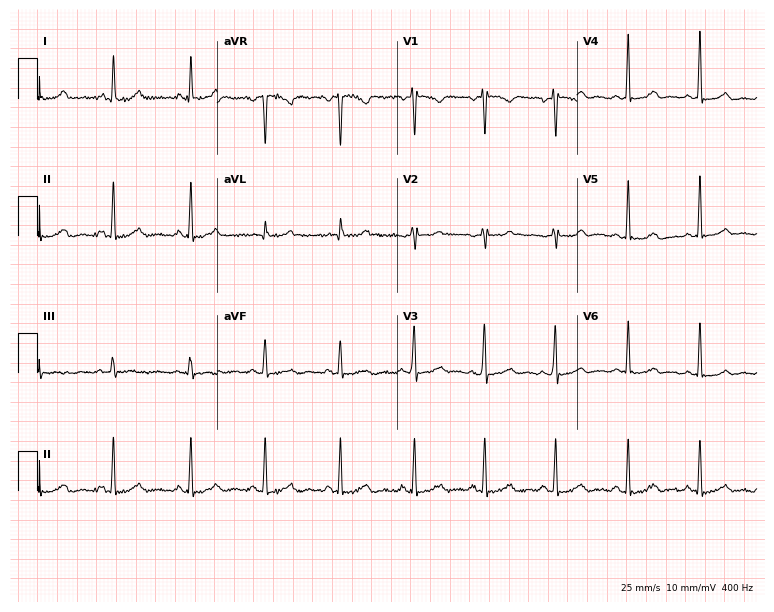
Resting 12-lead electrocardiogram (7.3-second recording at 400 Hz). Patient: a female, 39 years old. Read as a normal ECG.